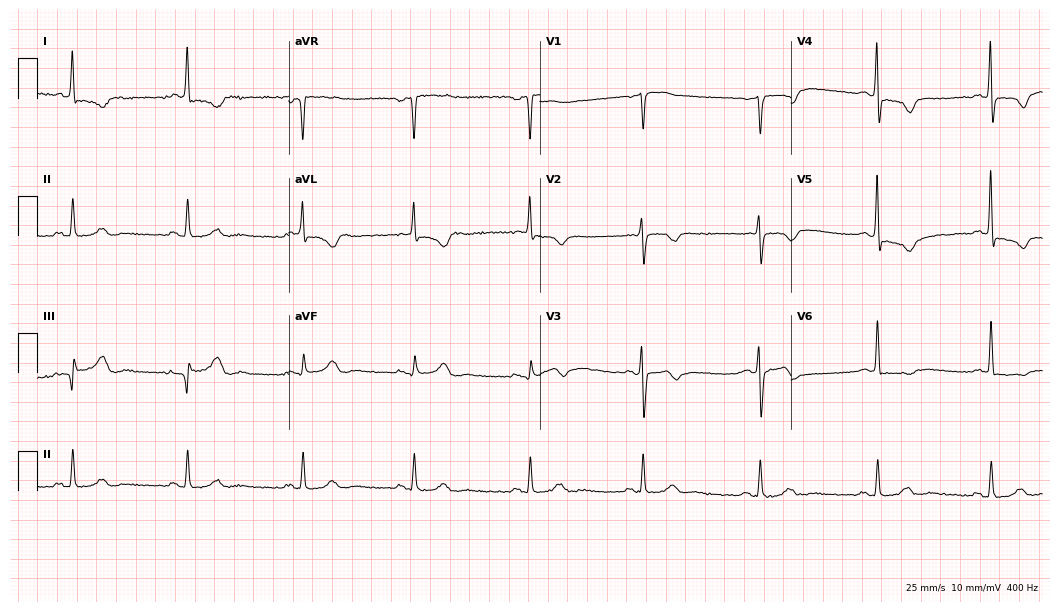
12-lead ECG (10.2-second recording at 400 Hz) from a woman, 72 years old. Screened for six findings — first-degree AV block, right bundle branch block (RBBB), left bundle branch block (LBBB), sinus bradycardia, atrial fibrillation (AF), sinus tachycardia — none is recorded.